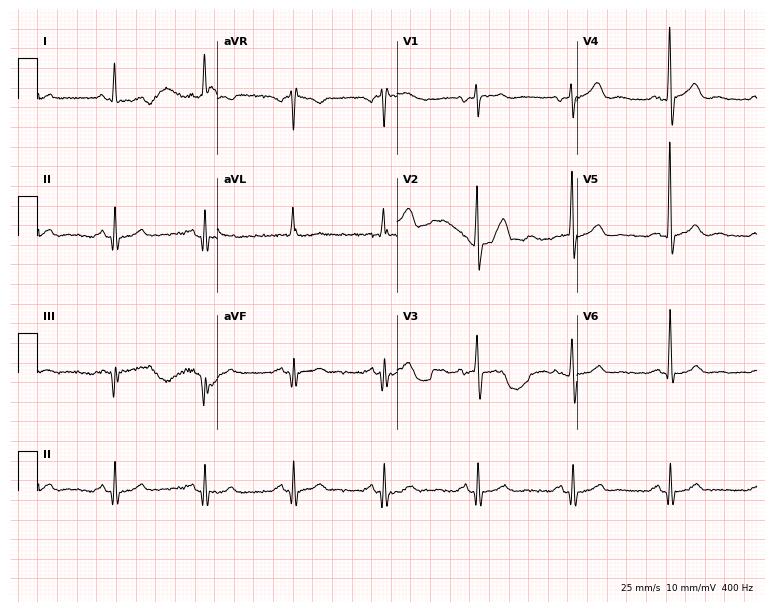
Resting 12-lead electrocardiogram (7.3-second recording at 400 Hz). Patient: a man, 66 years old. None of these six findings is recorded: first-degree AV block, right bundle branch block, left bundle branch block, sinus bradycardia, atrial fibrillation, sinus tachycardia. Other findings, if any, are not listed.